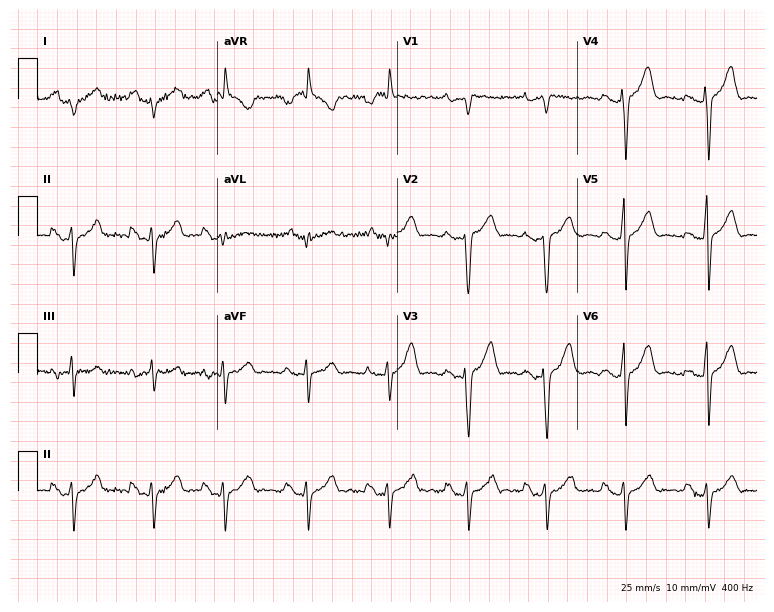
12-lead ECG (7.3-second recording at 400 Hz) from a 24-year-old female. Screened for six findings — first-degree AV block, right bundle branch block, left bundle branch block, sinus bradycardia, atrial fibrillation, sinus tachycardia — none is recorded.